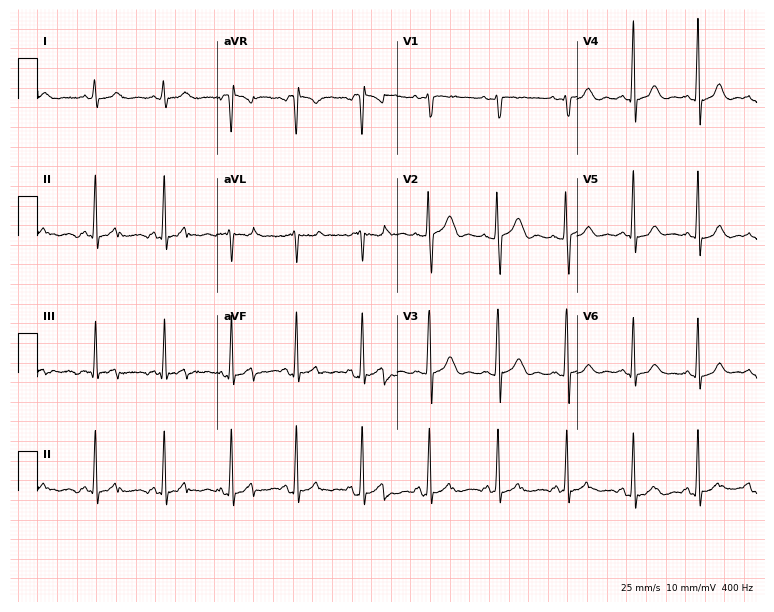
12-lead ECG (7.3-second recording at 400 Hz) from a 39-year-old woman. Labelled as a normal ECG.